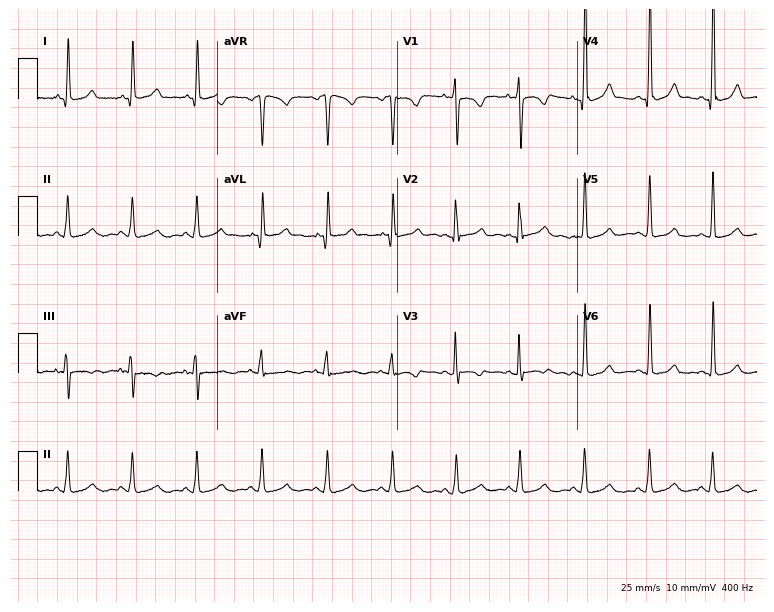
Standard 12-lead ECG recorded from a 31-year-old woman (7.3-second recording at 400 Hz). Read as a normal ECG.